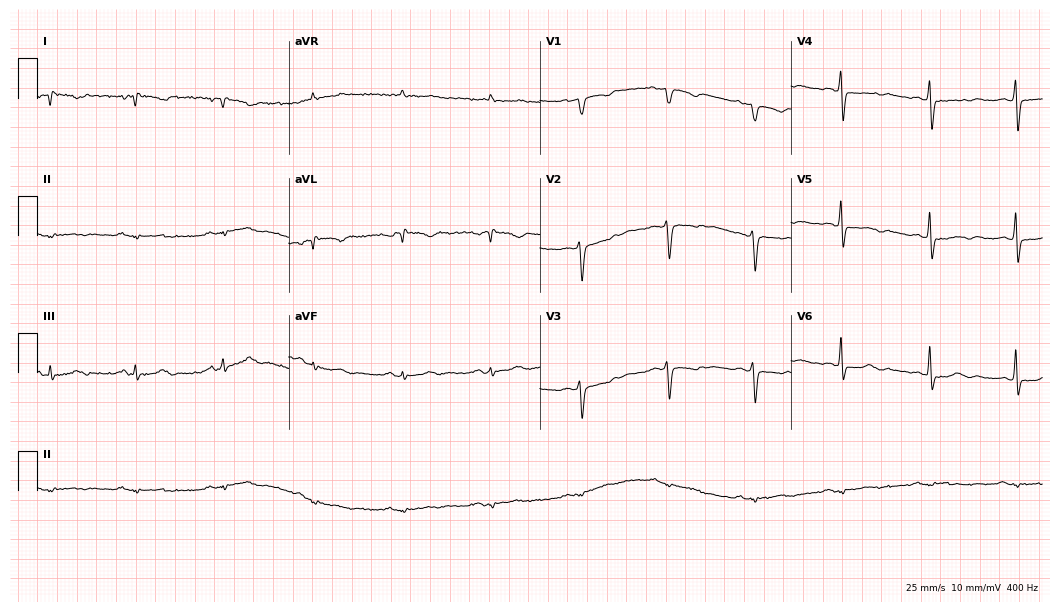
Standard 12-lead ECG recorded from a 46-year-old woman. None of these six findings is recorded: first-degree AV block, right bundle branch block, left bundle branch block, sinus bradycardia, atrial fibrillation, sinus tachycardia.